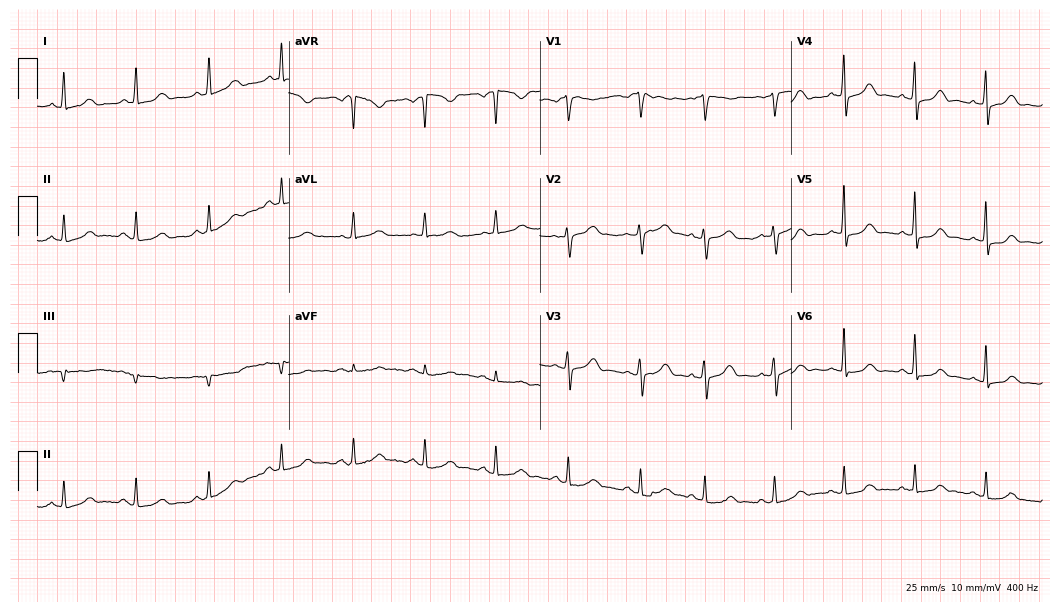
12-lead ECG from a 56-year-old woman. Labelled as a normal ECG.